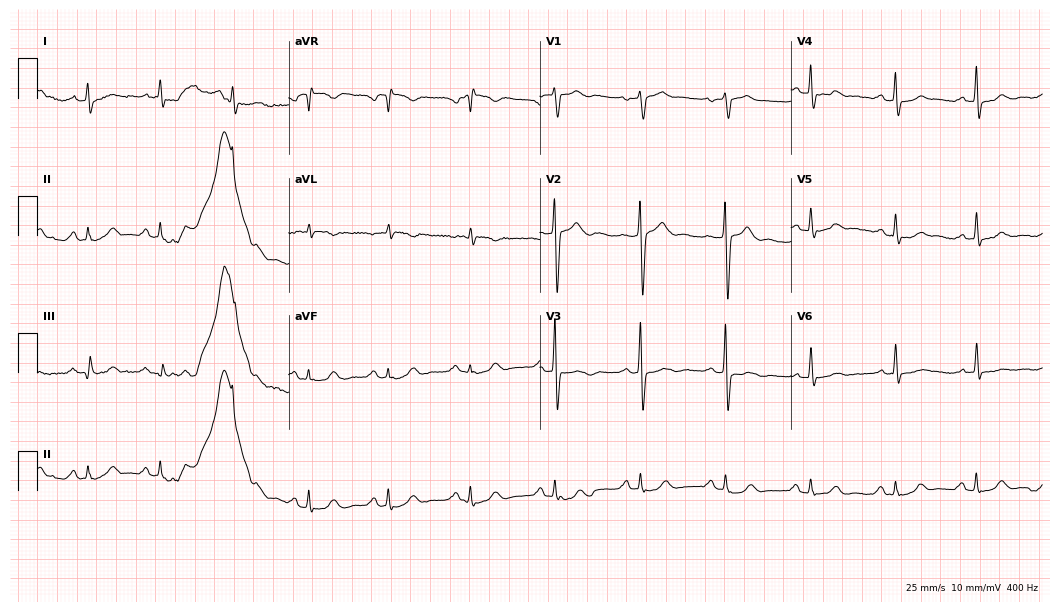
Electrocardiogram, a 59-year-old male patient. Of the six screened findings (first-degree AV block, right bundle branch block, left bundle branch block, sinus bradycardia, atrial fibrillation, sinus tachycardia), none is recorded.